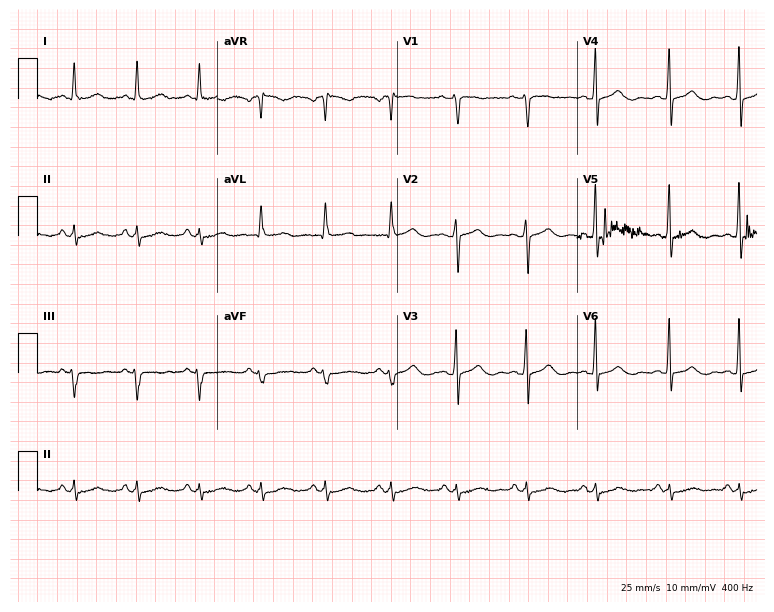
Electrocardiogram, a 55-year-old female. Of the six screened findings (first-degree AV block, right bundle branch block, left bundle branch block, sinus bradycardia, atrial fibrillation, sinus tachycardia), none is recorded.